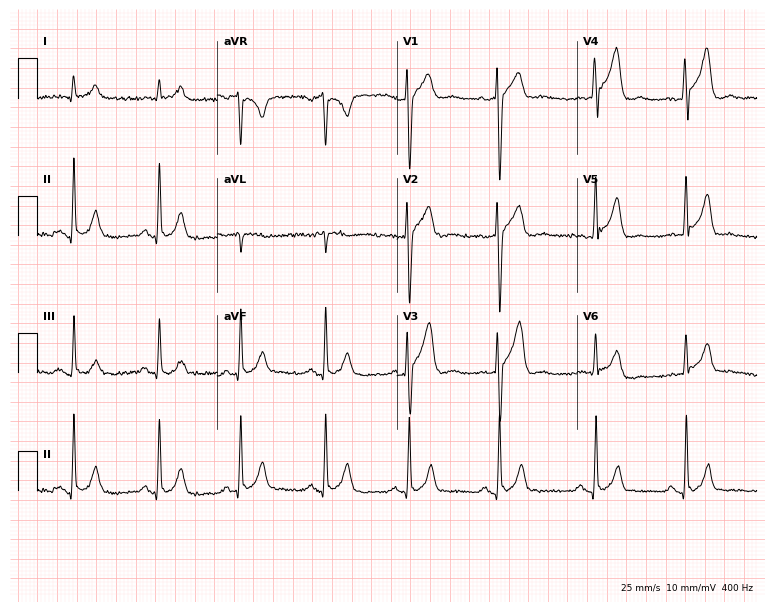
Electrocardiogram, a woman, 39 years old. Of the six screened findings (first-degree AV block, right bundle branch block, left bundle branch block, sinus bradycardia, atrial fibrillation, sinus tachycardia), none is recorded. Only these six findings were labelled.